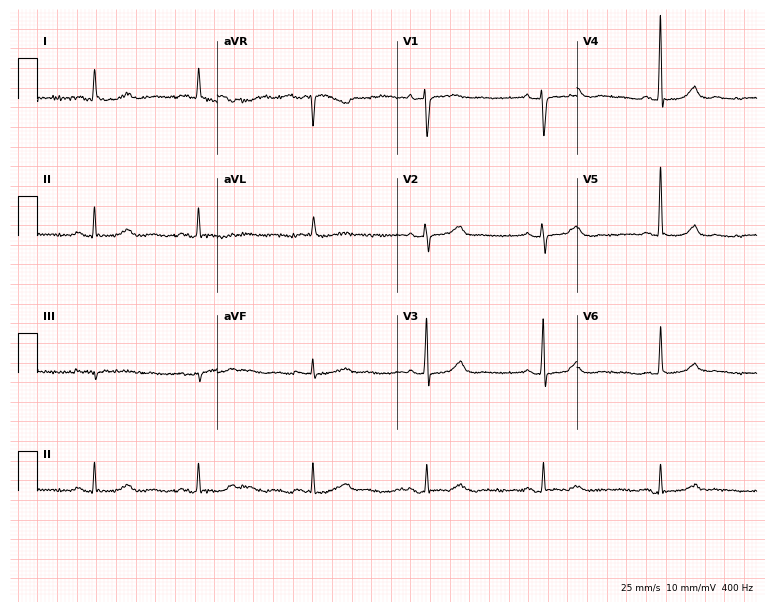
Resting 12-lead electrocardiogram (7.3-second recording at 400 Hz). Patient: a female, 84 years old. None of these six findings is recorded: first-degree AV block, right bundle branch block, left bundle branch block, sinus bradycardia, atrial fibrillation, sinus tachycardia. Only these six findings were labelled.